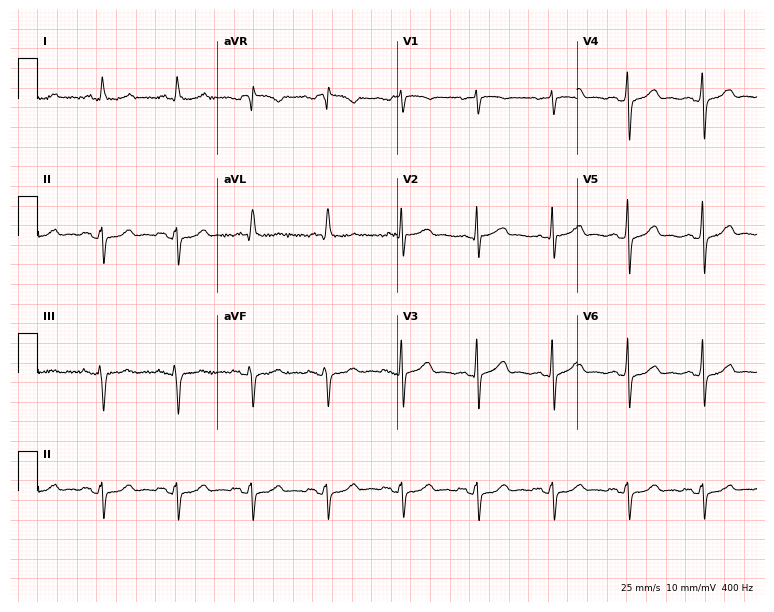
Electrocardiogram, a female, 65 years old. Of the six screened findings (first-degree AV block, right bundle branch block, left bundle branch block, sinus bradycardia, atrial fibrillation, sinus tachycardia), none is recorded.